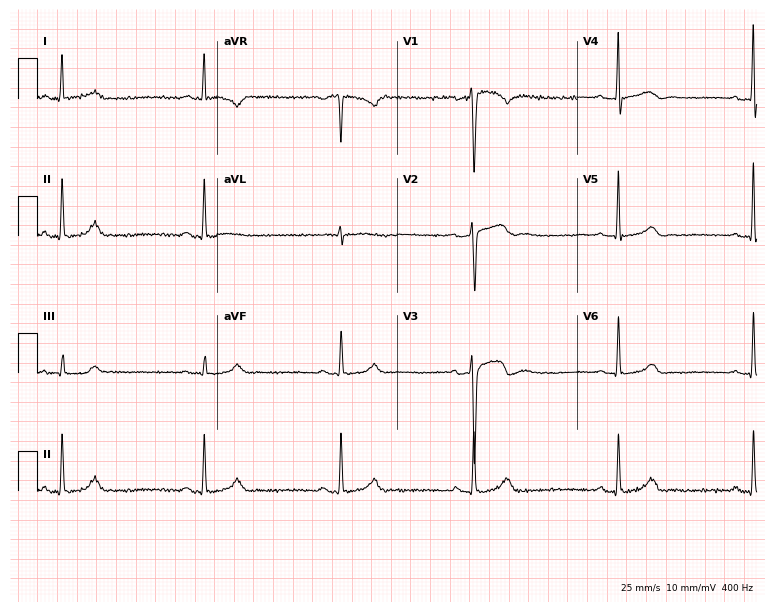
12-lead ECG from a woman, 47 years old. Findings include sinus bradycardia (a sinus rate of 50 beats per minute or less).